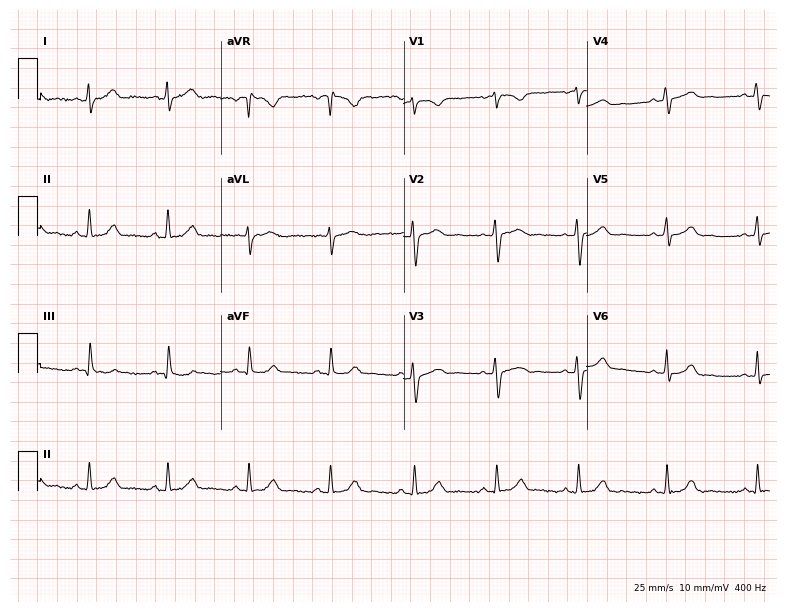
Standard 12-lead ECG recorded from a woman, 28 years old (7.5-second recording at 400 Hz). Read as a normal ECG.